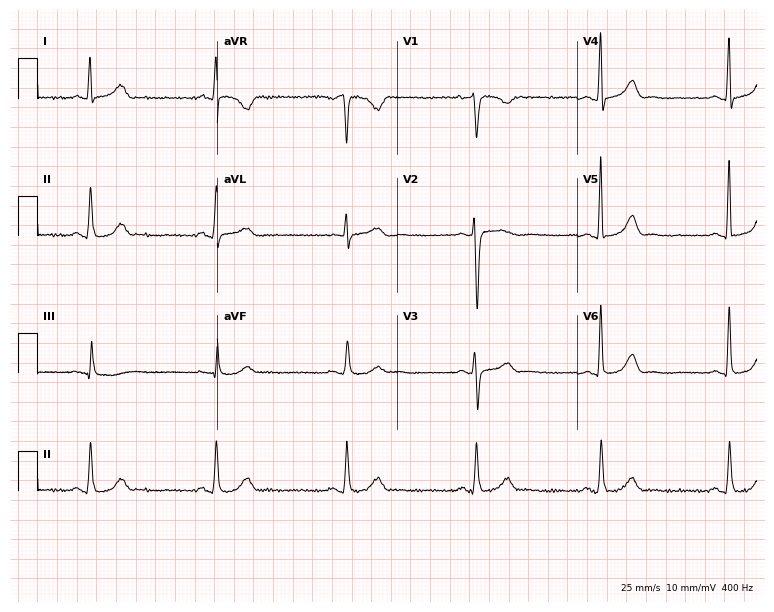
12-lead ECG from a 51-year-old male (7.3-second recording at 400 Hz). Shows sinus bradycardia (a sinus rate of 50 beats per minute or less).